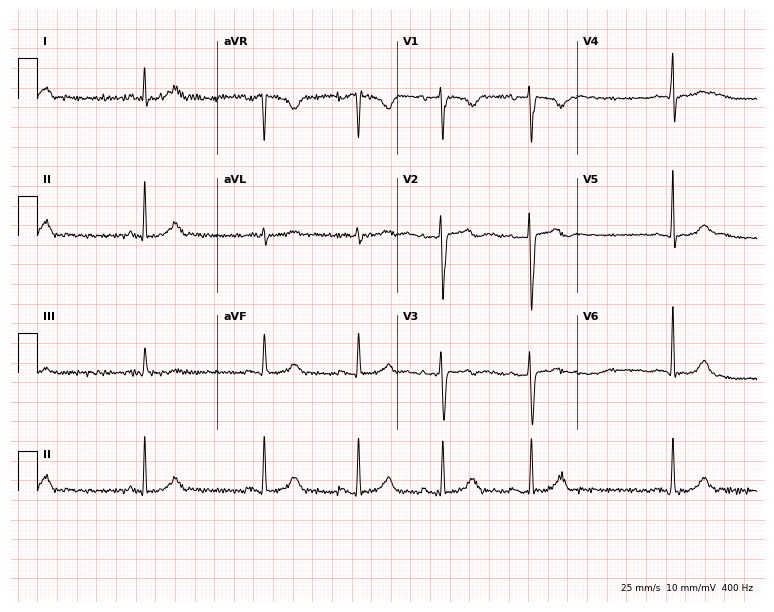
12-lead ECG from a 25-year-old female patient (7.3-second recording at 400 Hz). No first-degree AV block, right bundle branch block (RBBB), left bundle branch block (LBBB), sinus bradycardia, atrial fibrillation (AF) or sinus tachycardia recorded for this tracing. Findings outside these six are not listed.